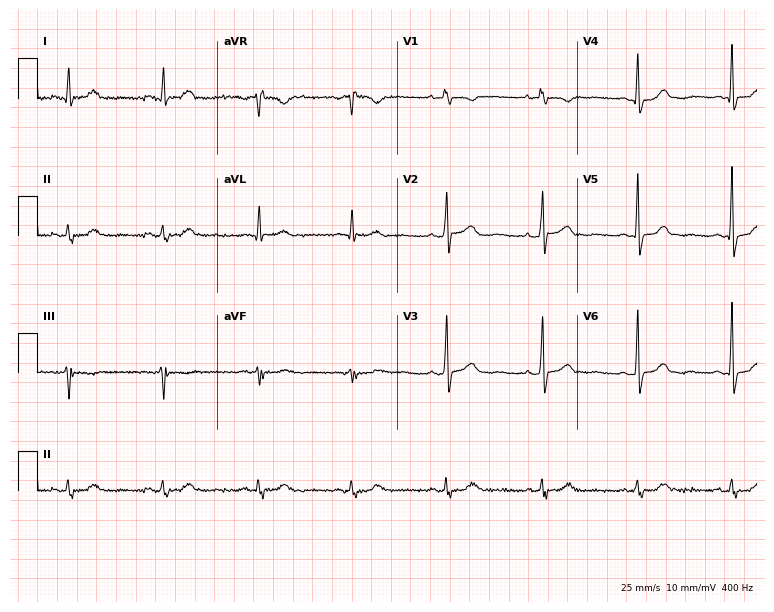
12-lead ECG from a woman, 53 years old. Screened for six findings — first-degree AV block, right bundle branch block (RBBB), left bundle branch block (LBBB), sinus bradycardia, atrial fibrillation (AF), sinus tachycardia — none is recorded. Findings outside these six are not listed.